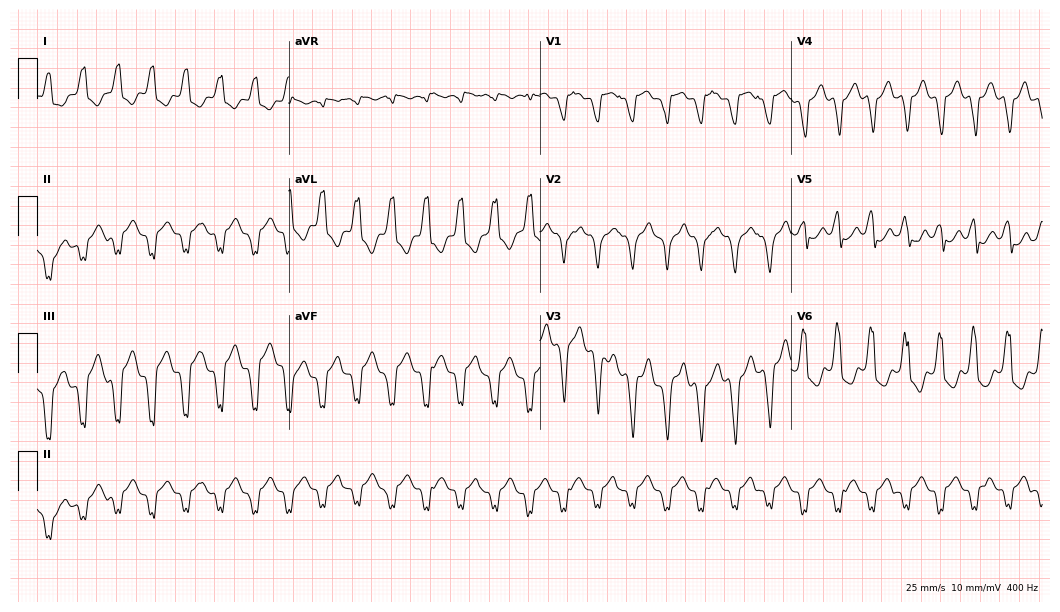
Electrocardiogram (10.2-second recording at 400 Hz), a man, 81 years old. Interpretation includes left bundle branch block.